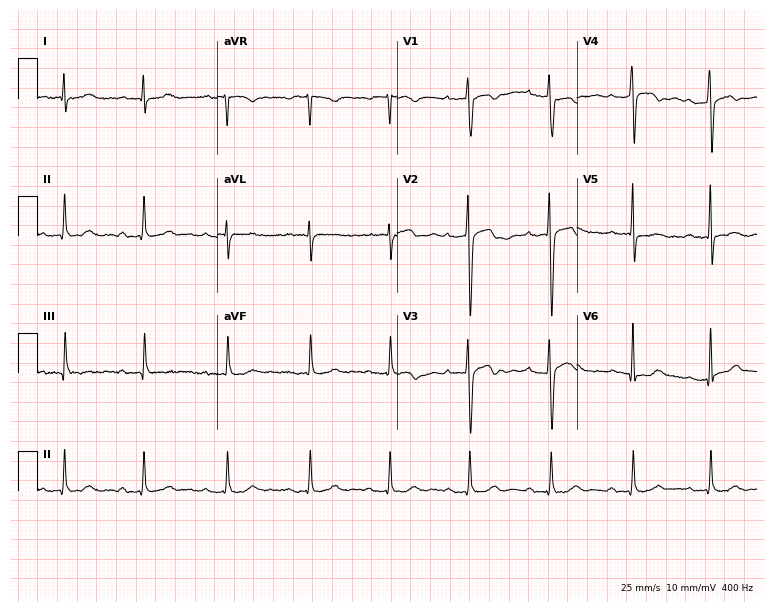
12-lead ECG from a 30-year-old female patient. Findings include first-degree AV block.